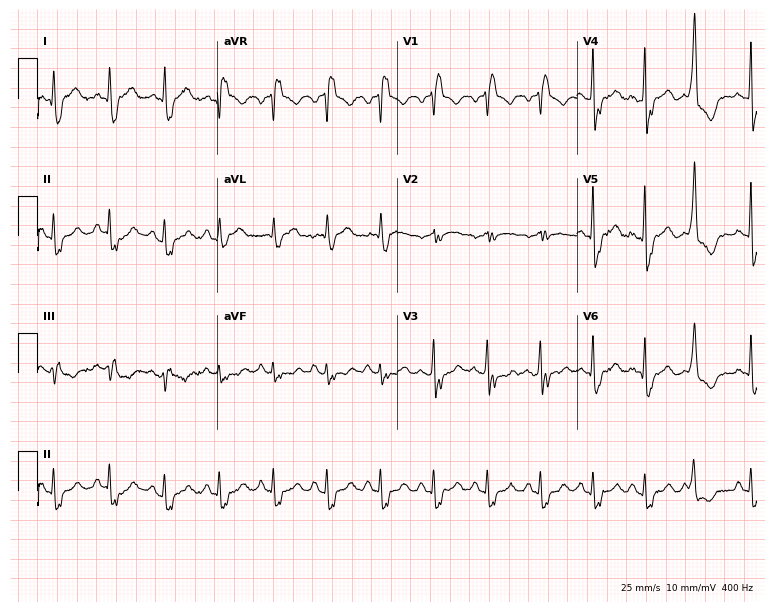
Standard 12-lead ECG recorded from a male, 78 years old. The tracing shows right bundle branch block (RBBB), sinus tachycardia (a sinus rate of 100 beats per minute or more).